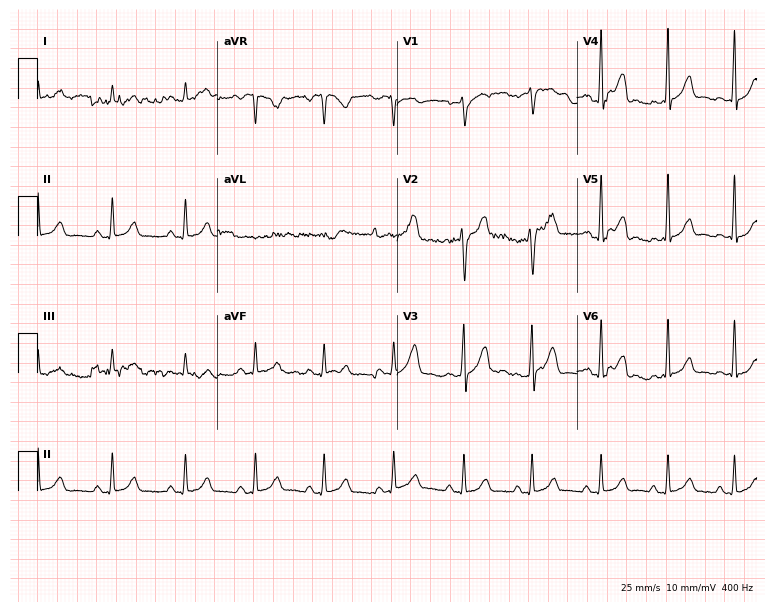
12-lead ECG from a male patient, 36 years old. Labelled as a normal ECG.